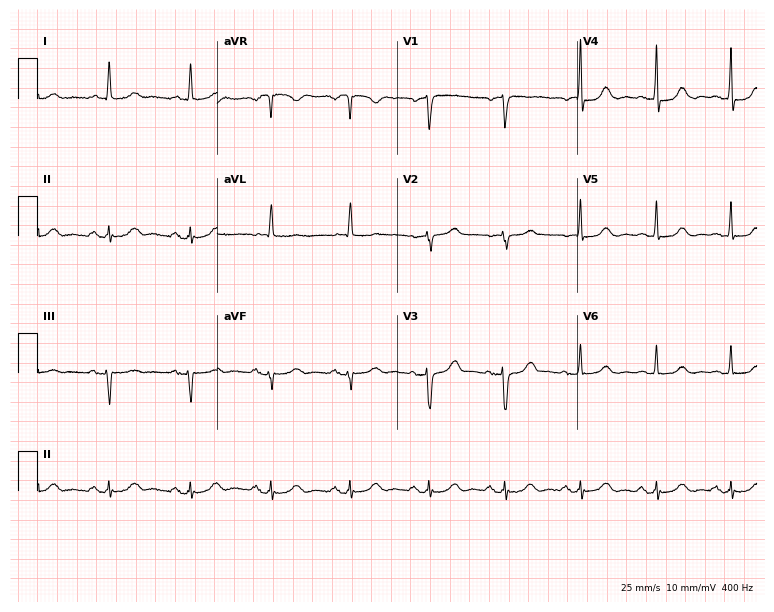
Standard 12-lead ECG recorded from a female patient, 65 years old (7.3-second recording at 400 Hz). None of these six findings is recorded: first-degree AV block, right bundle branch block, left bundle branch block, sinus bradycardia, atrial fibrillation, sinus tachycardia. Findings outside these six are not listed.